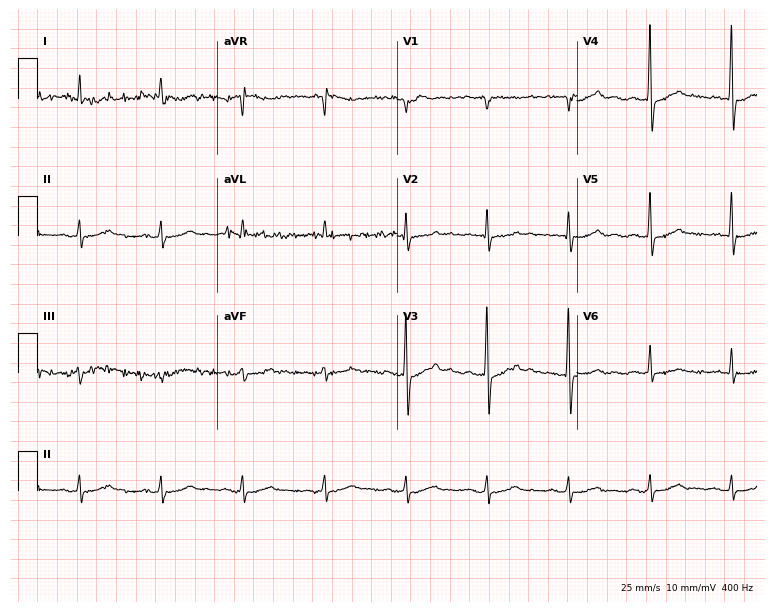
12-lead ECG from a female patient, 82 years old (7.3-second recording at 400 Hz). Recorded interpretation: within normal limits.